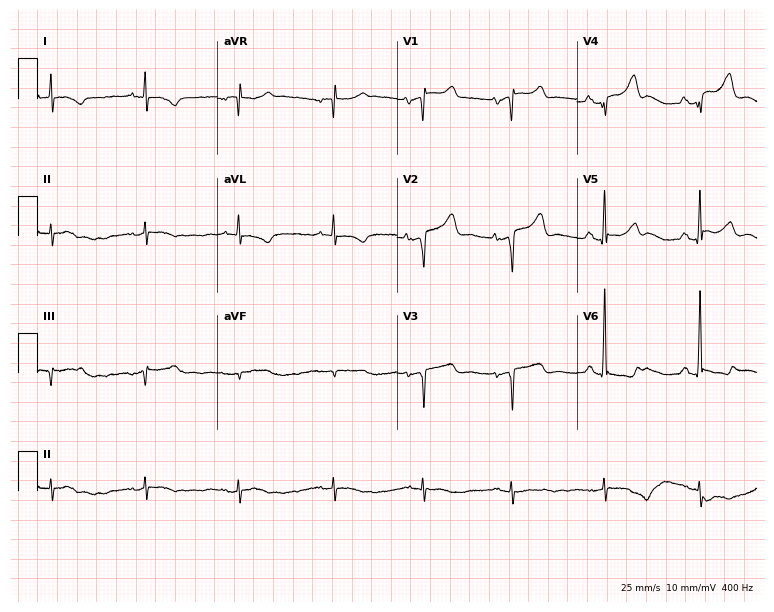
12-lead ECG from a 71-year-old woman. Screened for six findings — first-degree AV block, right bundle branch block, left bundle branch block, sinus bradycardia, atrial fibrillation, sinus tachycardia — none is recorded.